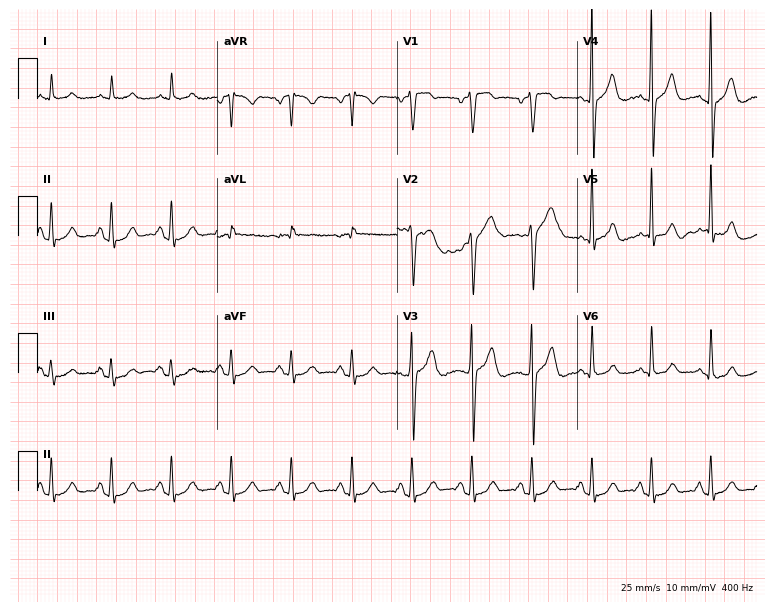
12-lead ECG from a 58-year-old man (7.3-second recording at 400 Hz). No first-degree AV block, right bundle branch block, left bundle branch block, sinus bradycardia, atrial fibrillation or sinus tachycardia recorded for this tracing.